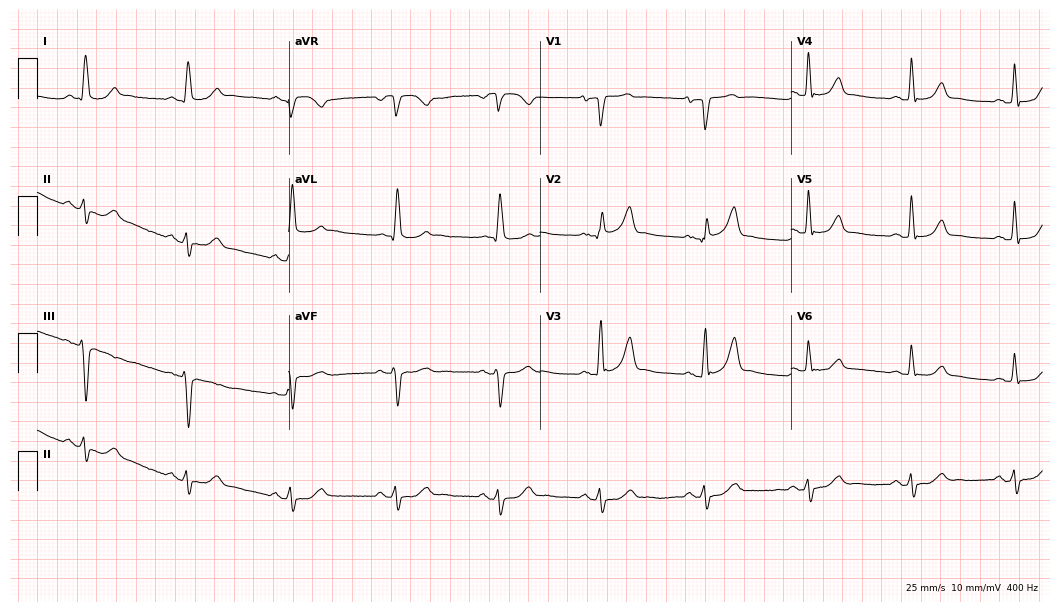
12-lead ECG from a 75-year-old man. No first-degree AV block, right bundle branch block, left bundle branch block, sinus bradycardia, atrial fibrillation or sinus tachycardia recorded for this tracing.